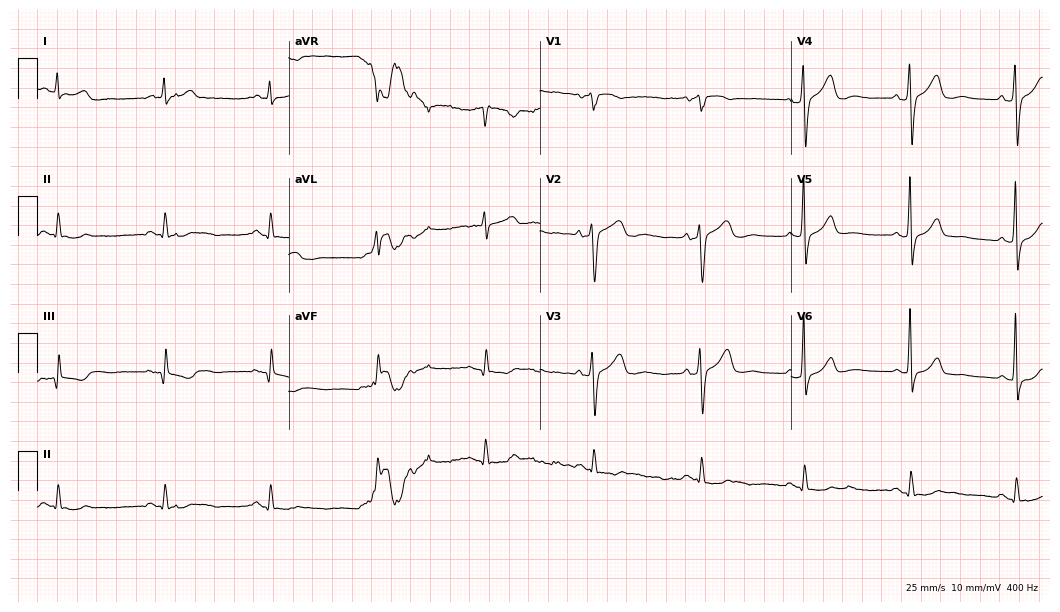
Electrocardiogram, a 61-year-old male patient. Of the six screened findings (first-degree AV block, right bundle branch block, left bundle branch block, sinus bradycardia, atrial fibrillation, sinus tachycardia), none is recorded. Other findings, if any, are not listed.